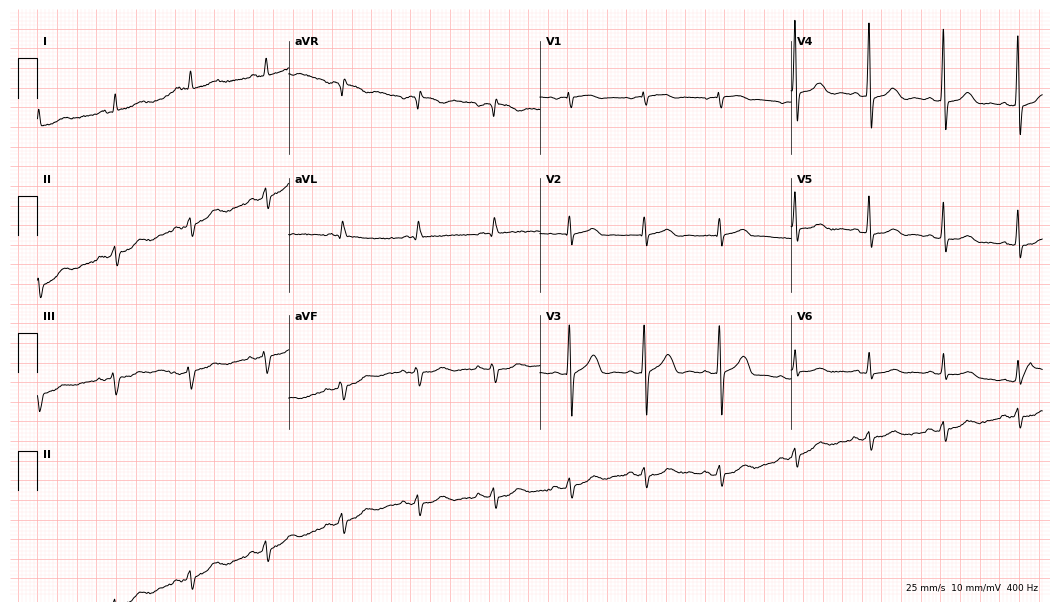
ECG — a 73-year-old woman. Screened for six findings — first-degree AV block, right bundle branch block (RBBB), left bundle branch block (LBBB), sinus bradycardia, atrial fibrillation (AF), sinus tachycardia — none is recorded. Only these six findings were labelled.